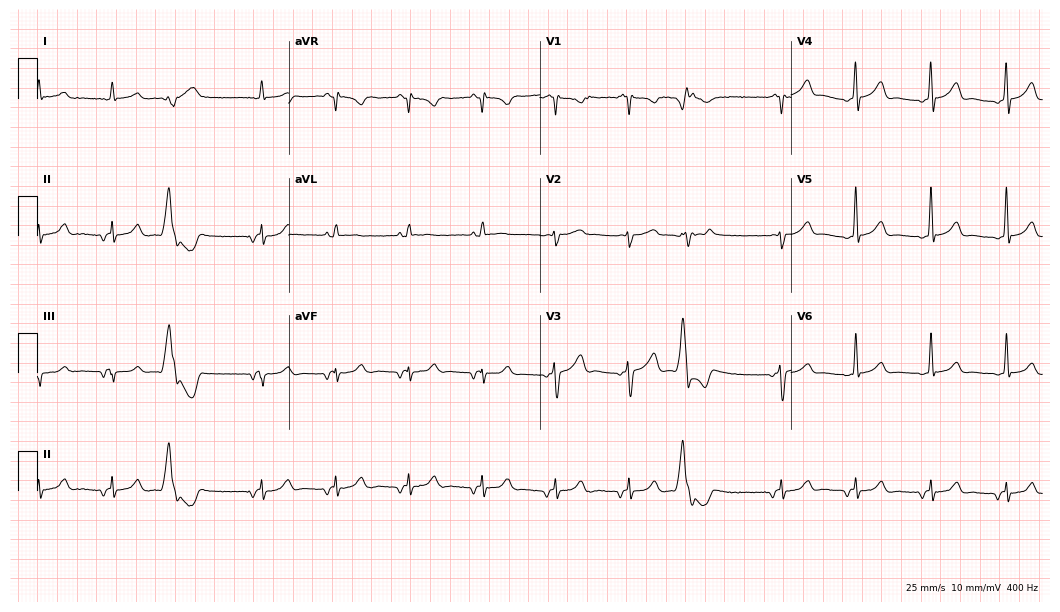
Electrocardiogram (10.2-second recording at 400 Hz), a 70-year-old male. Of the six screened findings (first-degree AV block, right bundle branch block (RBBB), left bundle branch block (LBBB), sinus bradycardia, atrial fibrillation (AF), sinus tachycardia), none is recorded.